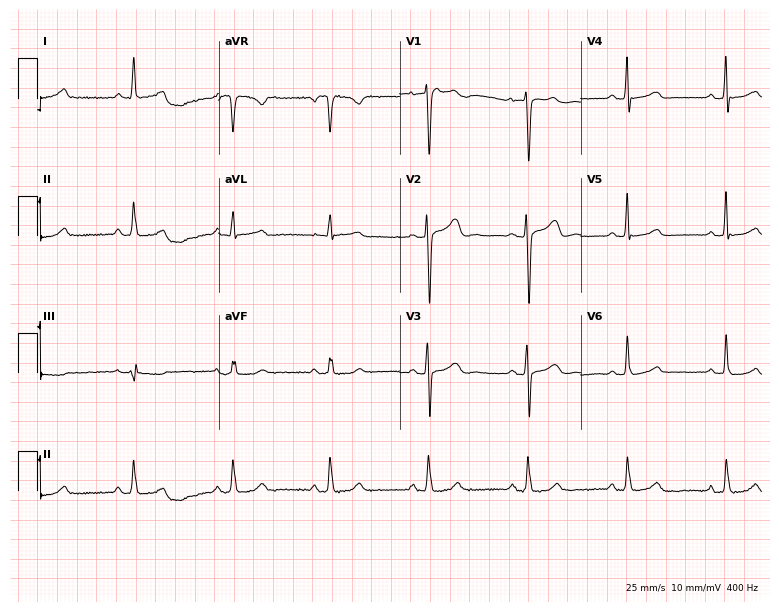
Standard 12-lead ECG recorded from a 61-year-old woman (7.4-second recording at 400 Hz). None of these six findings is recorded: first-degree AV block, right bundle branch block, left bundle branch block, sinus bradycardia, atrial fibrillation, sinus tachycardia.